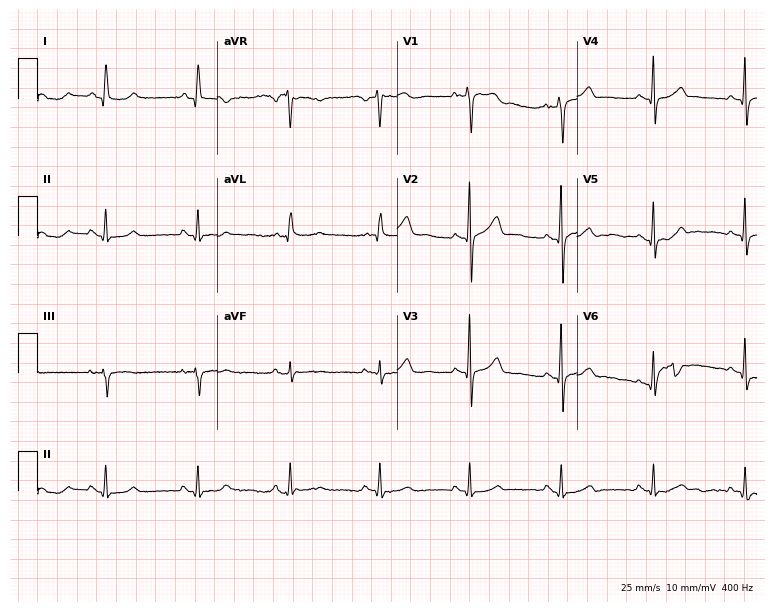
Electrocardiogram, a 49-year-old male patient. Overall reading on record: normal ECG.